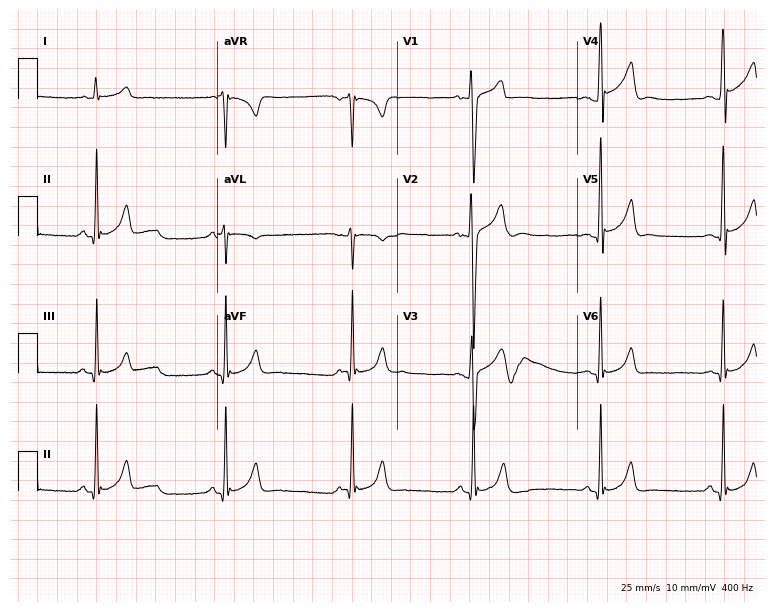
12-lead ECG from a male, 17 years old. Shows sinus bradycardia (a sinus rate of 50 beats per minute or less).